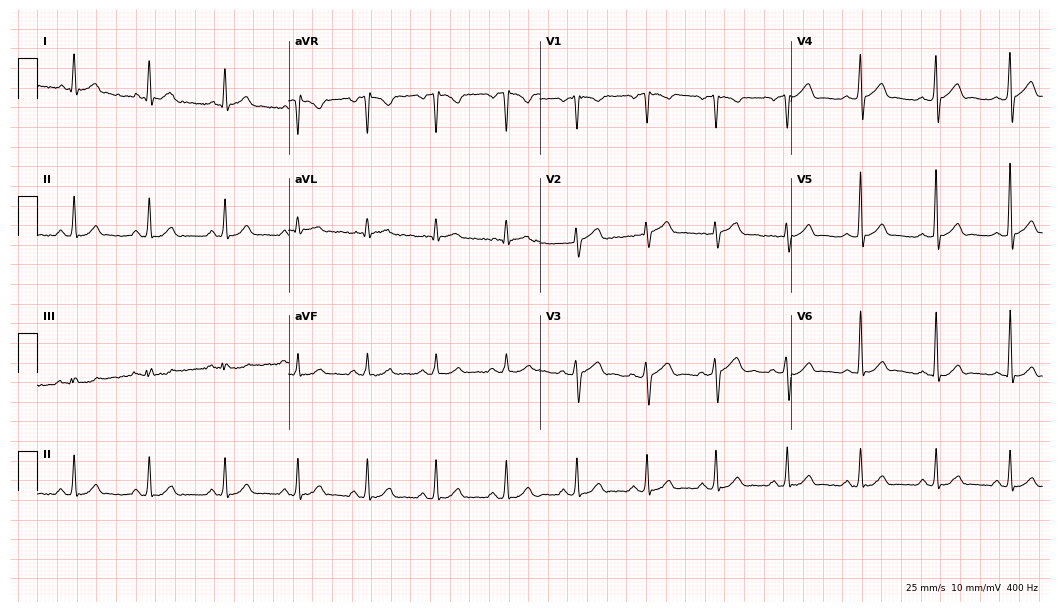
ECG (10.2-second recording at 400 Hz) — a 46-year-old man. Labelled as a normal ECG.